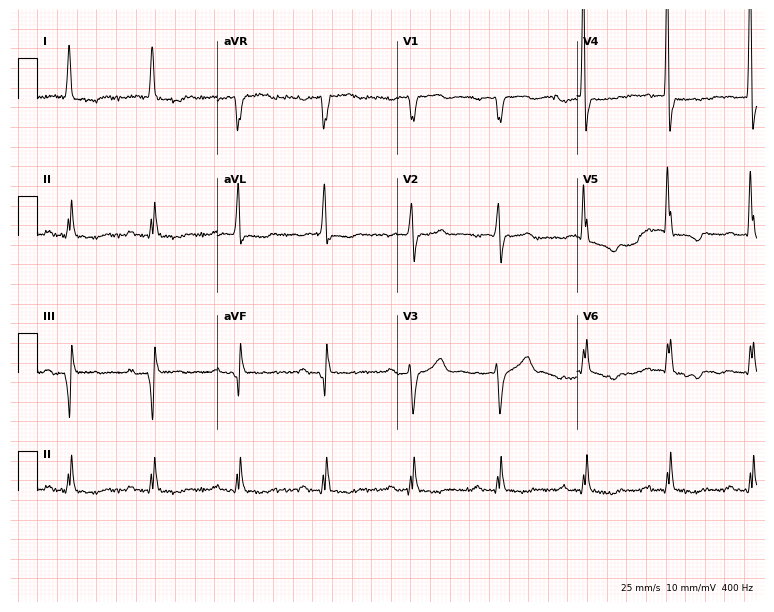
Electrocardiogram, an 83-year-old man. Interpretation includes first-degree AV block.